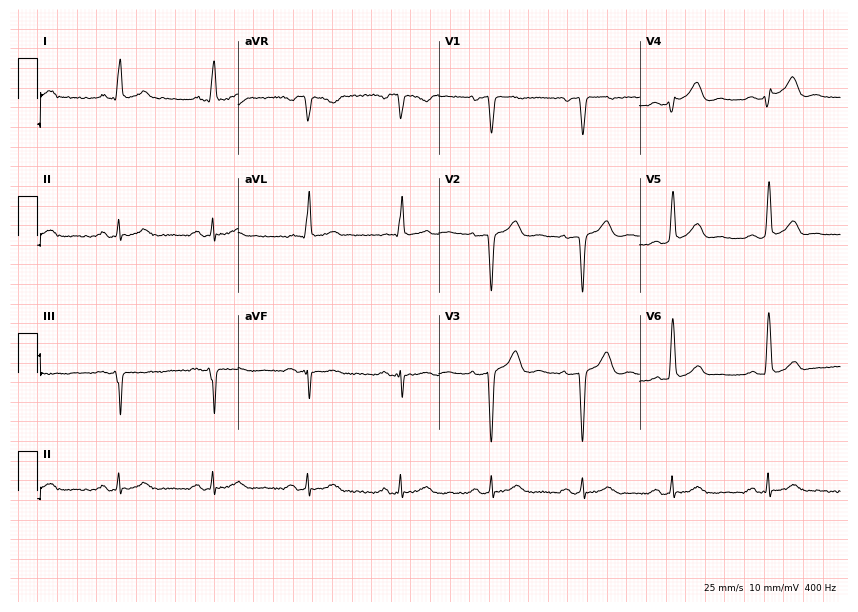
ECG (8.2-second recording at 400 Hz) — a 69-year-old man. Screened for six findings — first-degree AV block, right bundle branch block (RBBB), left bundle branch block (LBBB), sinus bradycardia, atrial fibrillation (AF), sinus tachycardia — none is recorded.